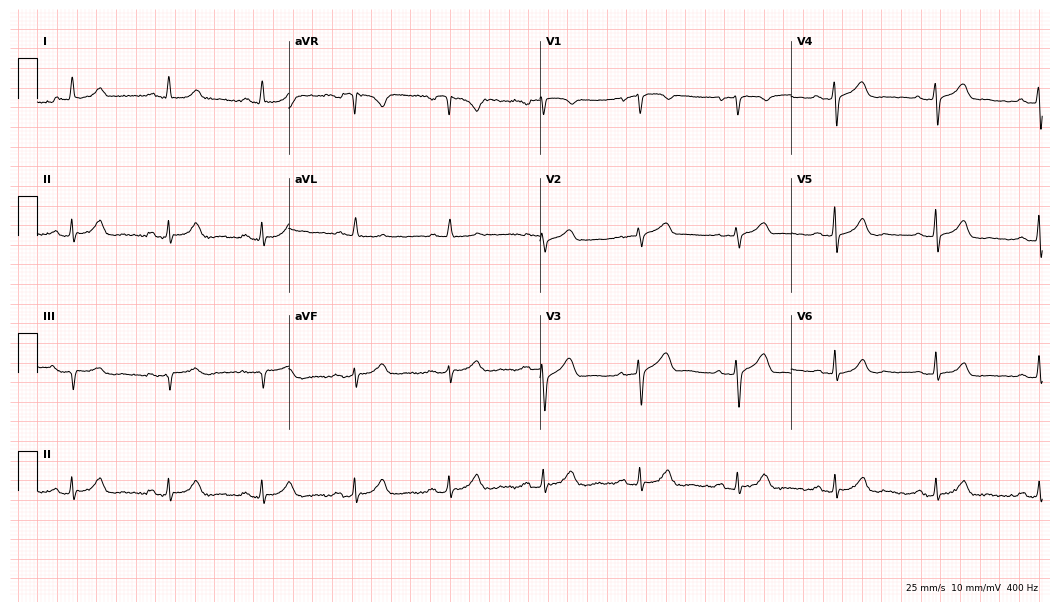
Electrocardiogram, a female, 74 years old. Overall reading on record: normal ECG.